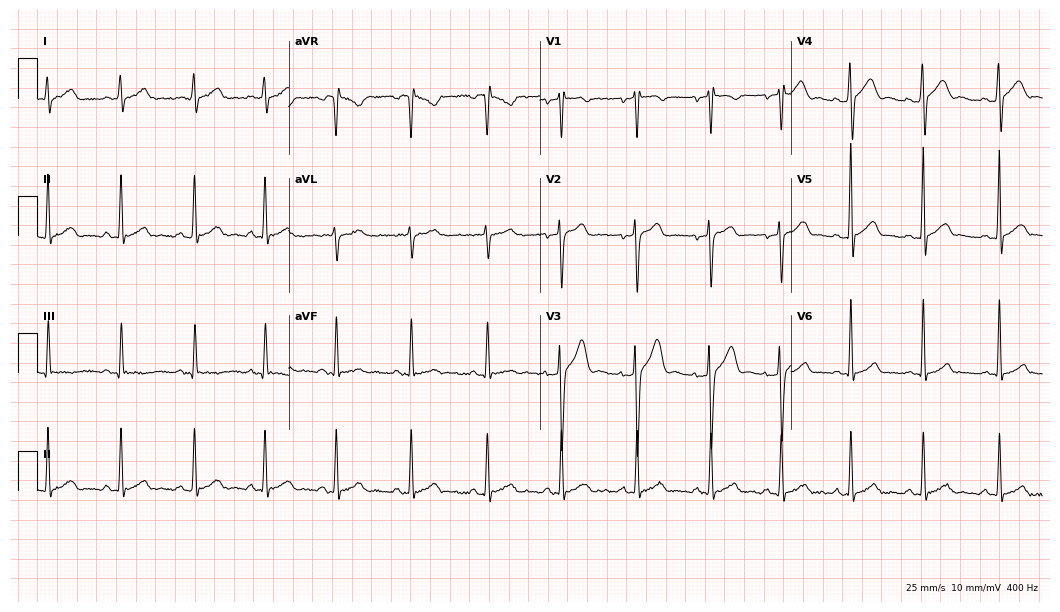
ECG — a male patient, 19 years old. Labelled as a normal ECG.